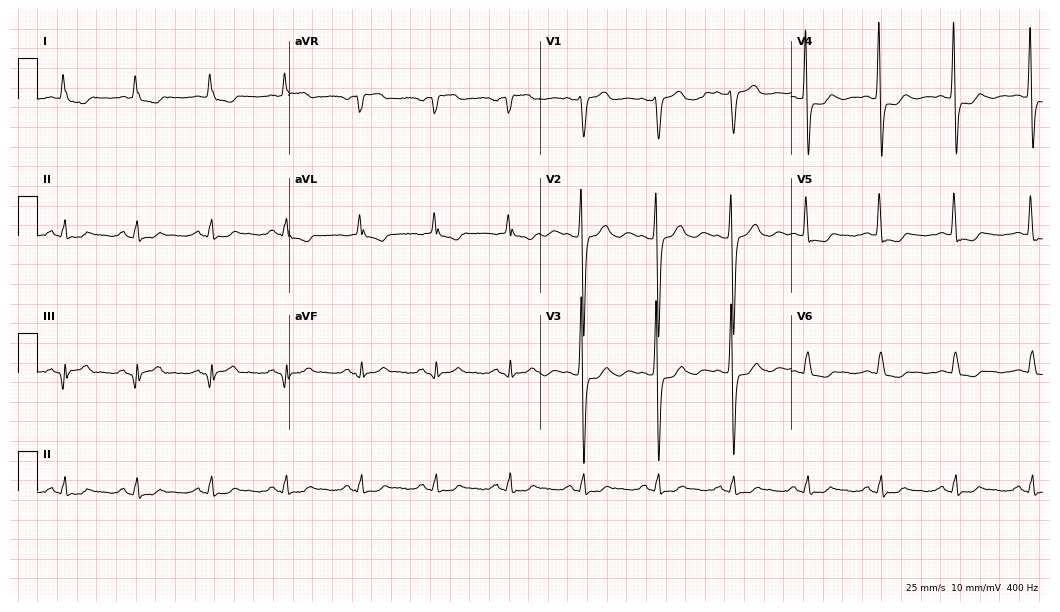
Standard 12-lead ECG recorded from a female, 57 years old (10.2-second recording at 400 Hz). None of these six findings is recorded: first-degree AV block, right bundle branch block, left bundle branch block, sinus bradycardia, atrial fibrillation, sinus tachycardia.